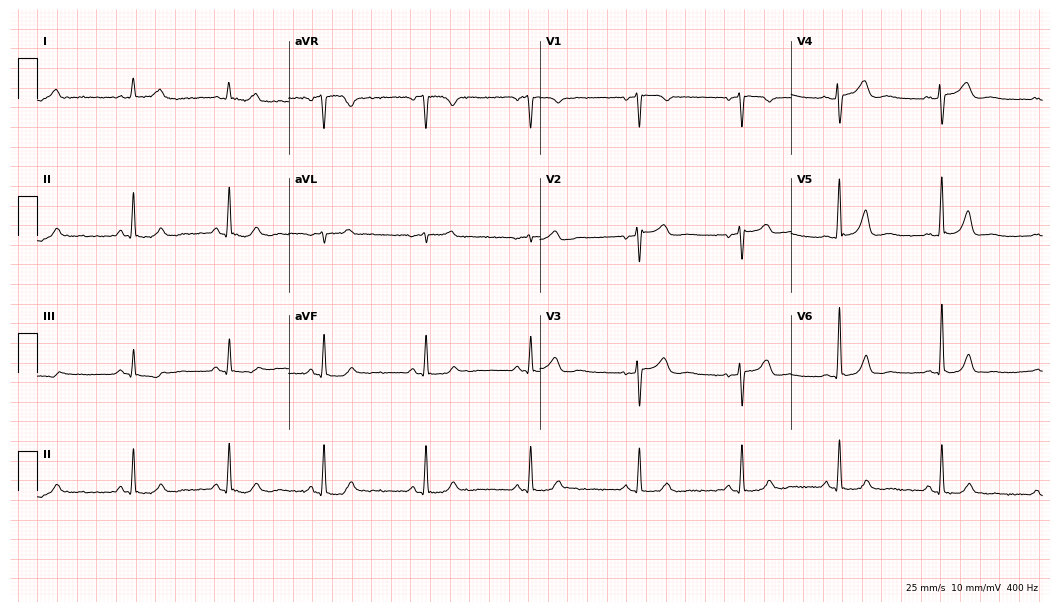
Resting 12-lead electrocardiogram (10.2-second recording at 400 Hz). Patient: a 53-year-old woman. None of these six findings is recorded: first-degree AV block, right bundle branch block, left bundle branch block, sinus bradycardia, atrial fibrillation, sinus tachycardia.